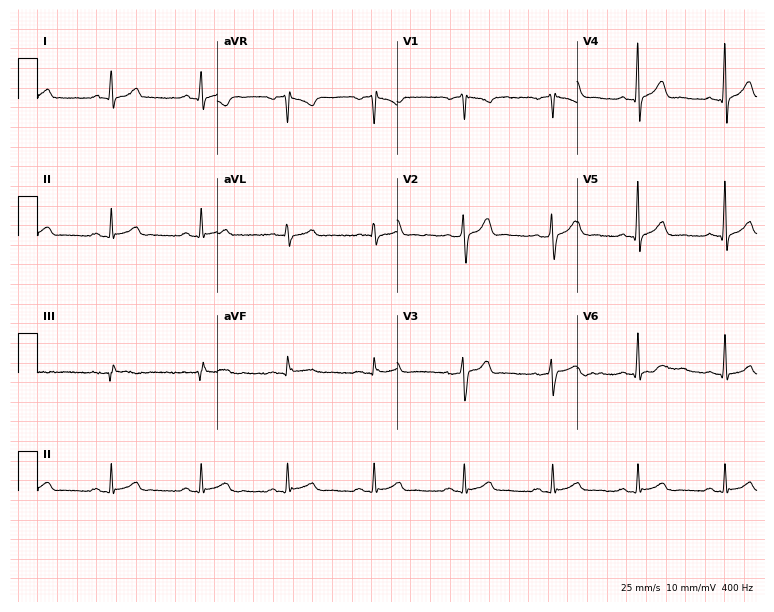
Resting 12-lead electrocardiogram (7.3-second recording at 400 Hz). Patient: a male, 32 years old. Read as a normal ECG.